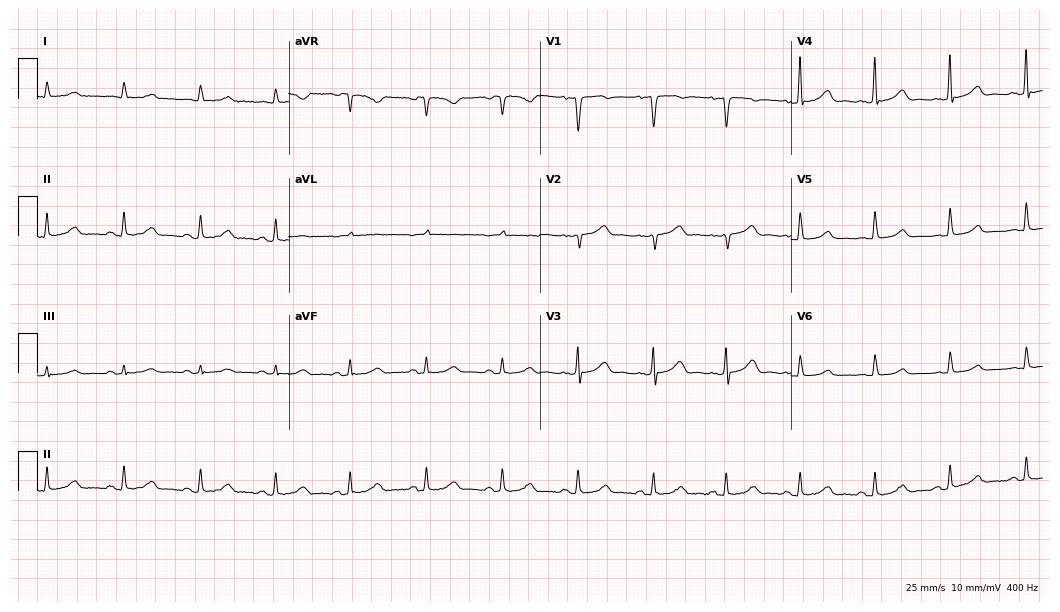
12-lead ECG from a male patient, 62 years old. Screened for six findings — first-degree AV block, right bundle branch block (RBBB), left bundle branch block (LBBB), sinus bradycardia, atrial fibrillation (AF), sinus tachycardia — none is recorded.